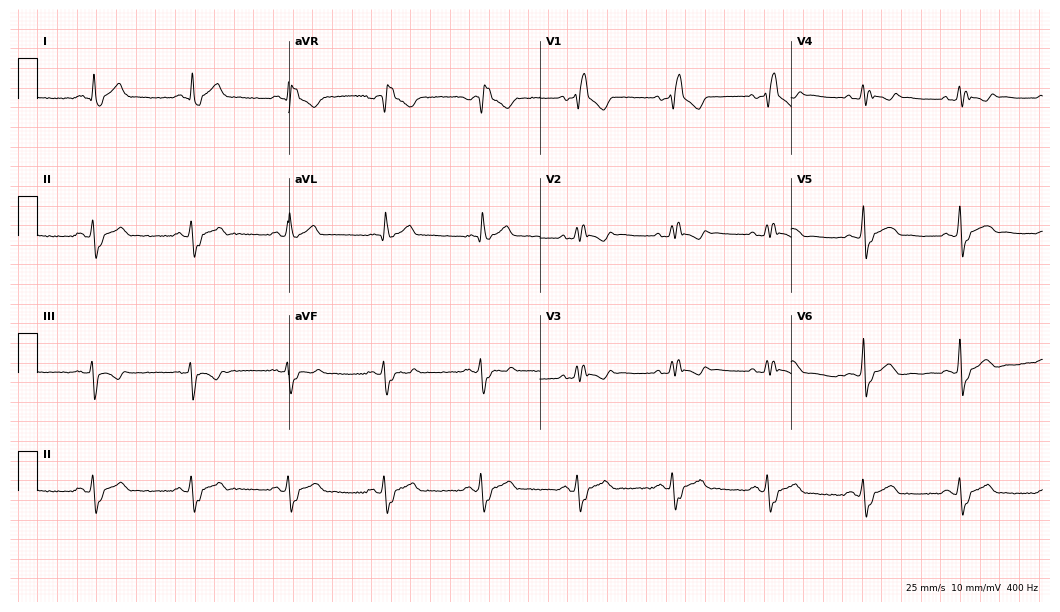
Standard 12-lead ECG recorded from a male patient, 54 years old (10.2-second recording at 400 Hz). The tracing shows right bundle branch block.